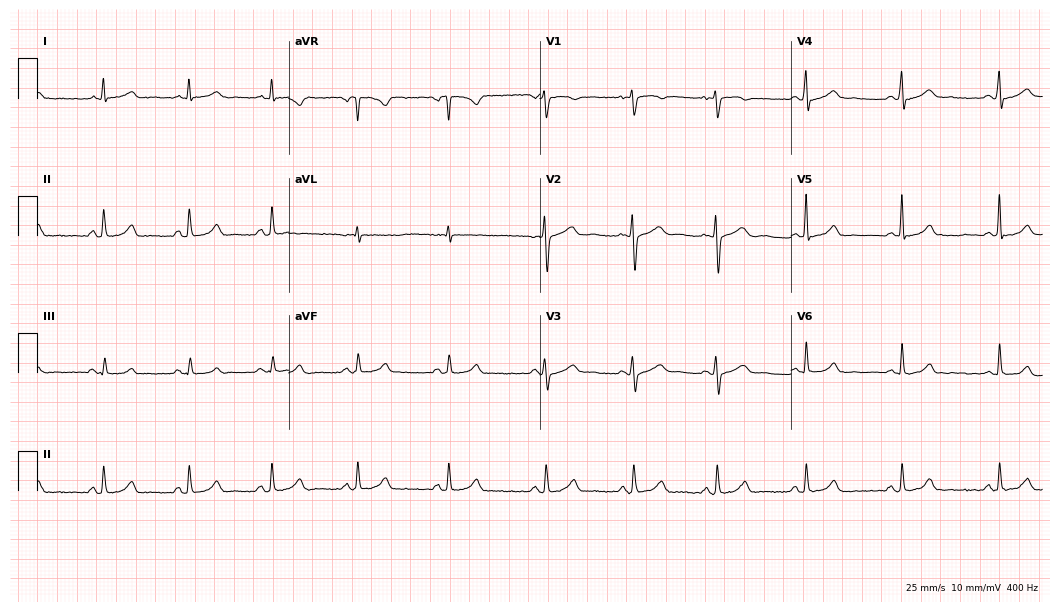
12-lead ECG from a female, 24 years old. Recorded interpretation: within normal limits.